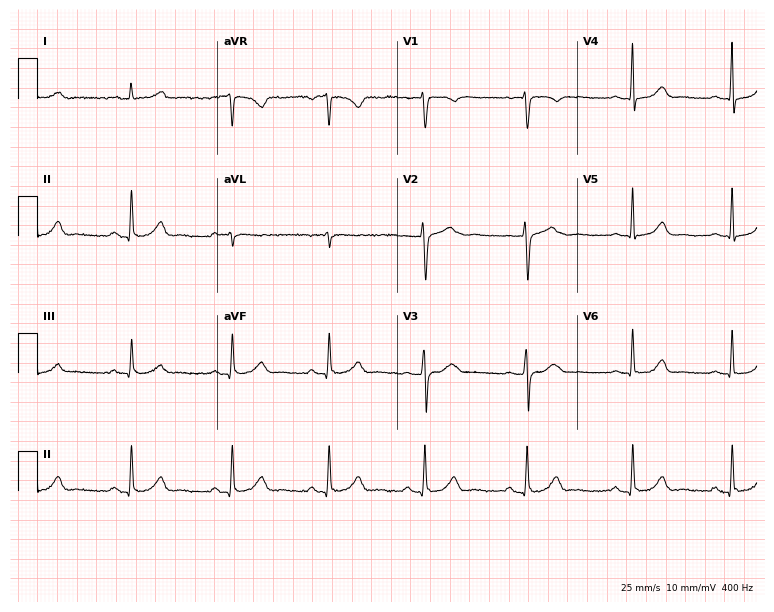
12-lead ECG (7.3-second recording at 400 Hz) from a 38-year-old woman. Labelled as a normal ECG.